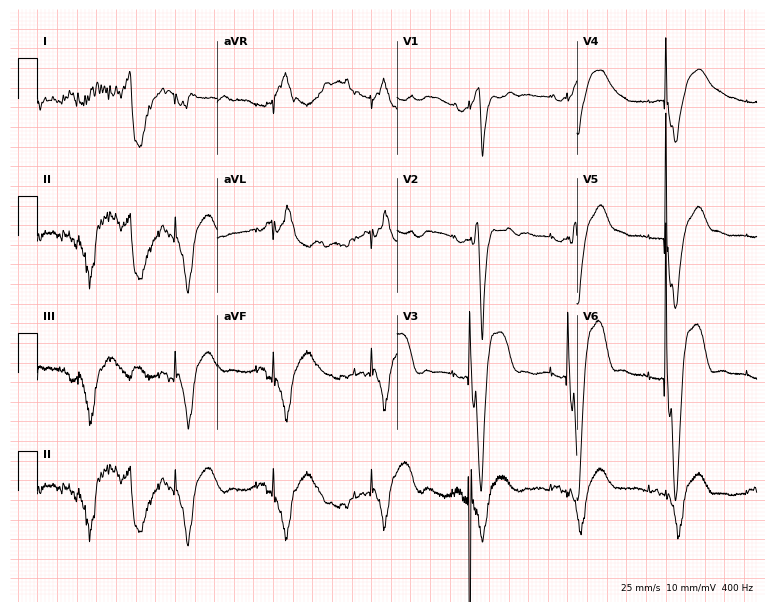
ECG — a 78-year-old male. Screened for six findings — first-degree AV block, right bundle branch block, left bundle branch block, sinus bradycardia, atrial fibrillation, sinus tachycardia — none is recorded.